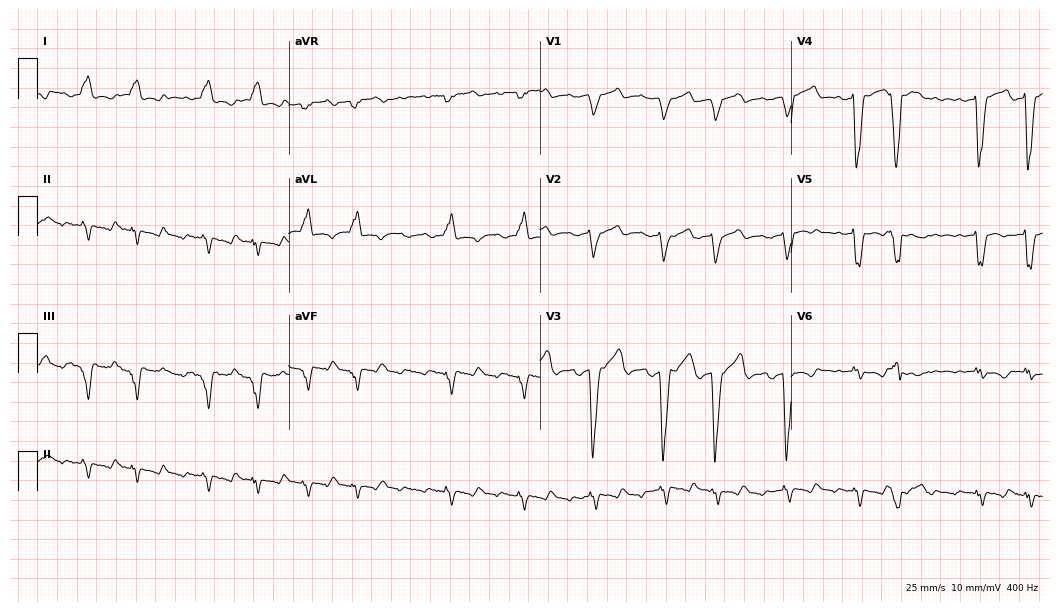
Electrocardiogram (10.2-second recording at 400 Hz), a 42-year-old woman. Interpretation includes left bundle branch block (LBBB), atrial fibrillation (AF).